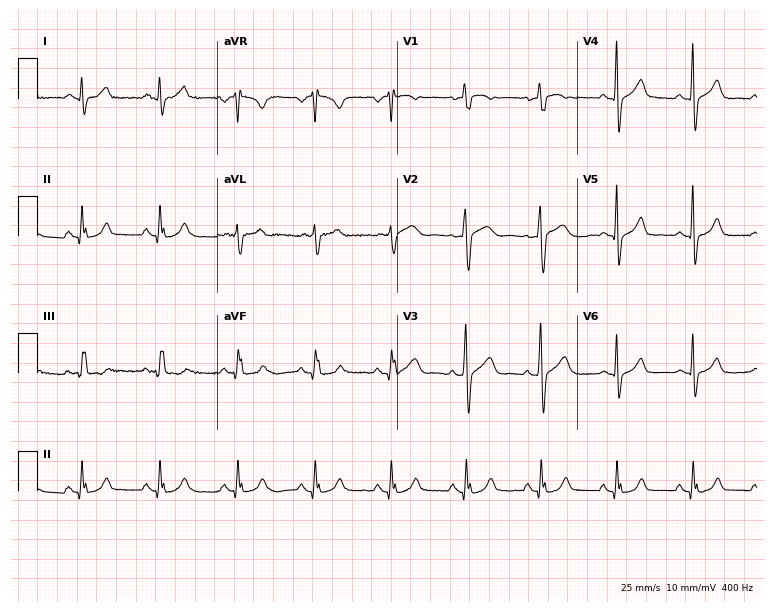
Resting 12-lead electrocardiogram. Patient: a 54-year-old man. Read as a normal ECG.